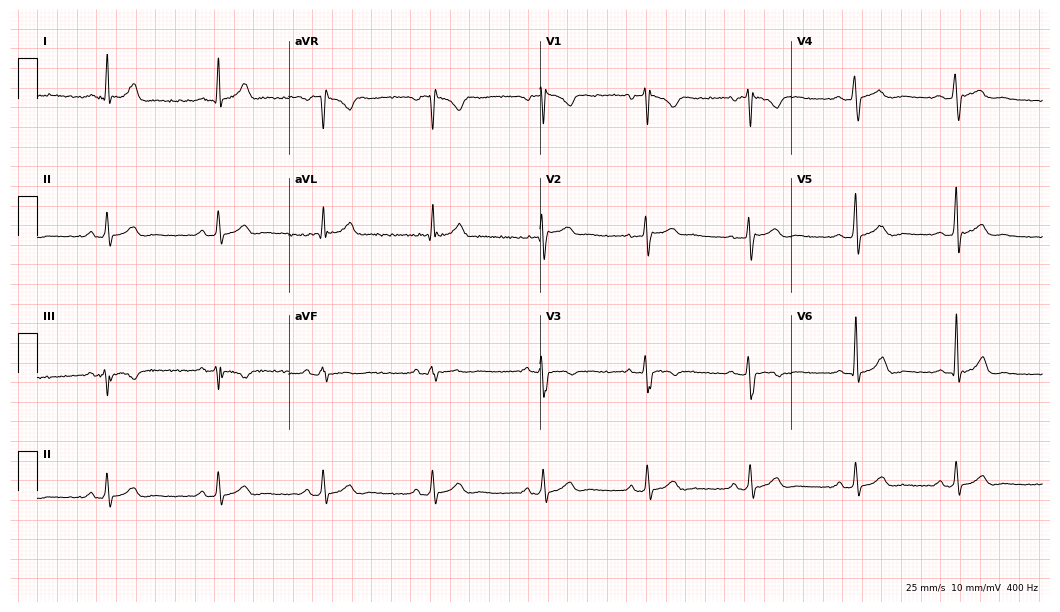
ECG (10.2-second recording at 400 Hz) — a 36-year-old male. Screened for six findings — first-degree AV block, right bundle branch block, left bundle branch block, sinus bradycardia, atrial fibrillation, sinus tachycardia — none is recorded. Findings outside these six are not listed.